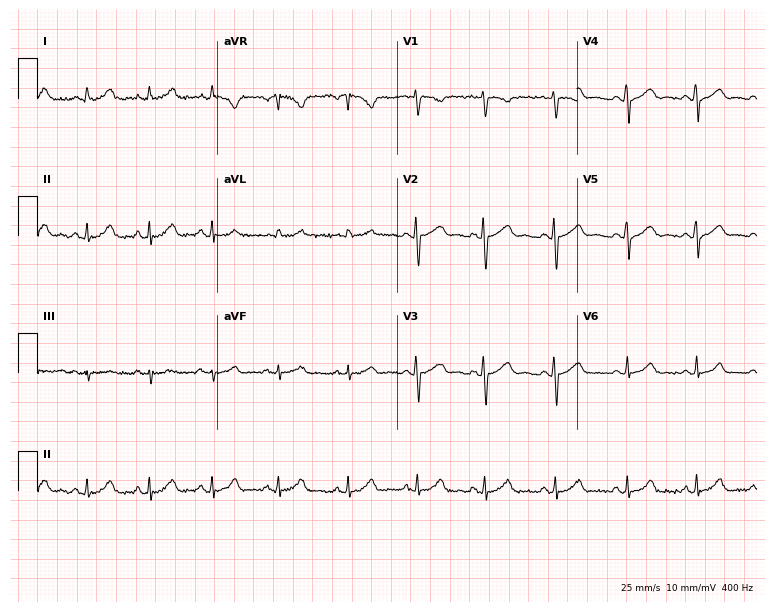
ECG — a female patient, 24 years old. Labelled as a normal ECG.